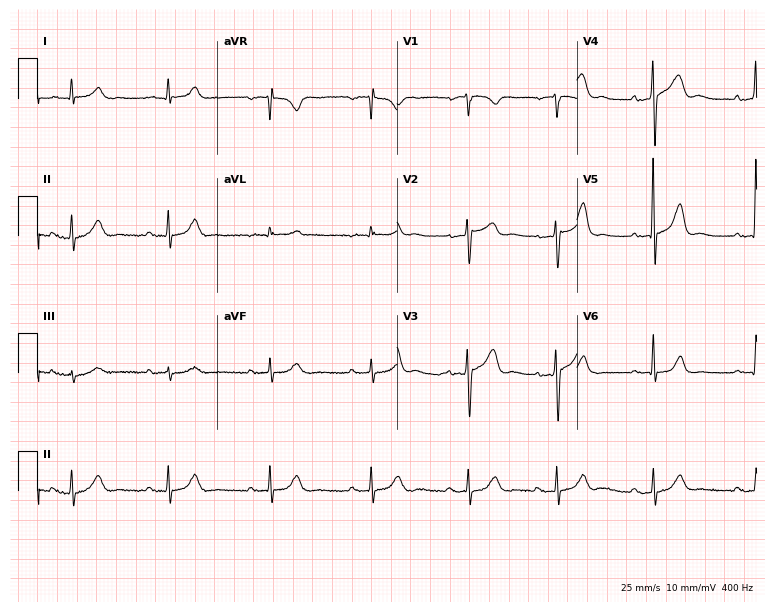
Resting 12-lead electrocardiogram (7.3-second recording at 400 Hz). Patient: a male, 73 years old. None of these six findings is recorded: first-degree AV block, right bundle branch block, left bundle branch block, sinus bradycardia, atrial fibrillation, sinus tachycardia. Only these six findings were labelled.